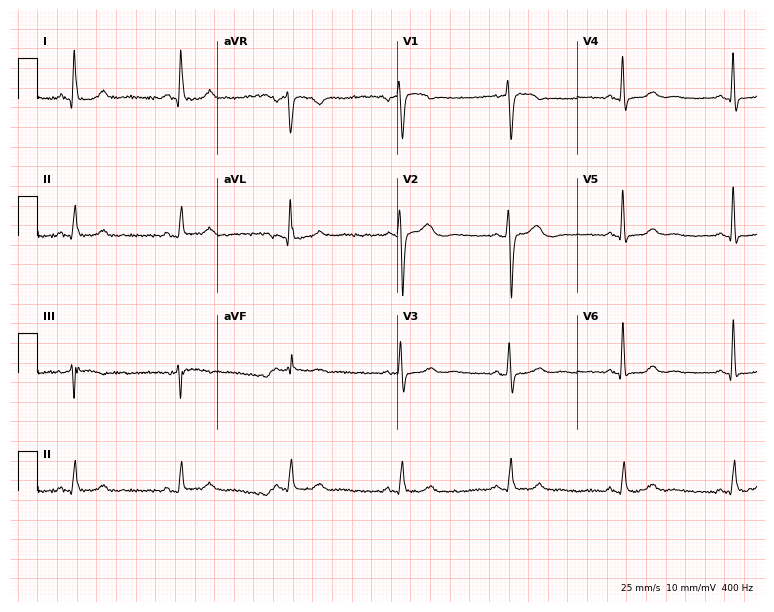
12-lead ECG from a female, 58 years old. Labelled as a normal ECG.